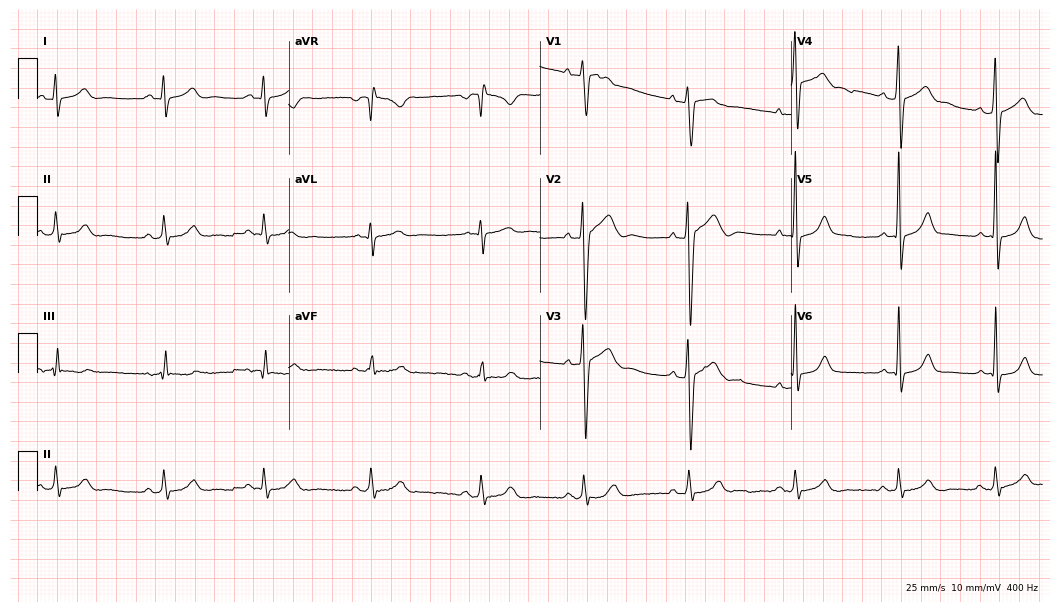
Electrocardiogram, a male patient, 24 years old. Overall reading on record: normal ECG.